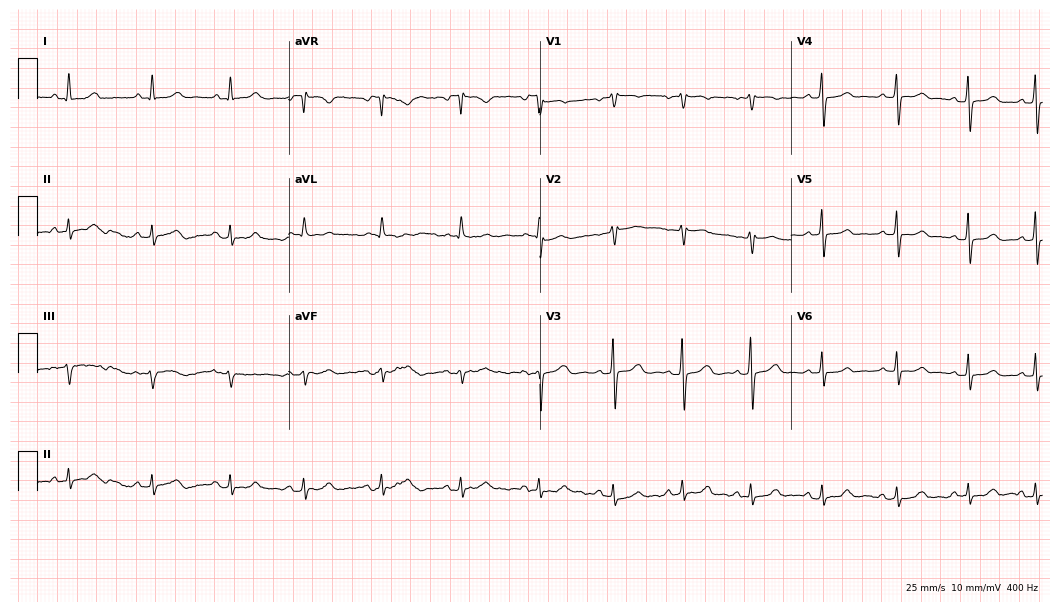
Resting 12-lead electrocardiogram (10.2-second recording at 400 Hz). Patient: a 37-year-old woman. Read as a normal ECG.